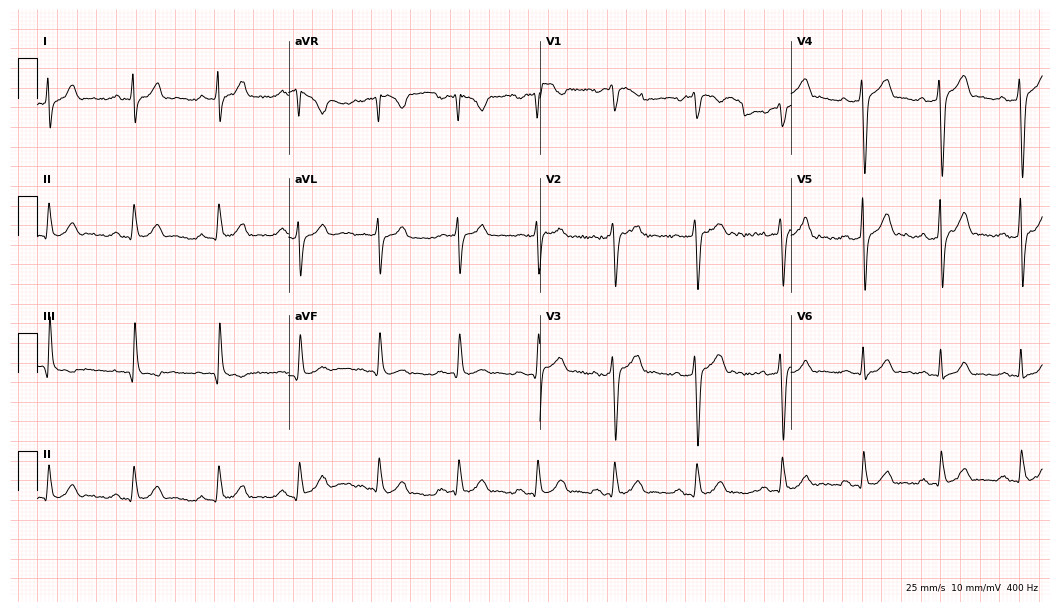
Electrocardiogram, a 30-year-old man. Of the six screened findings (first-degree AV block, right bundle branch block, left bundle branch block, sinus bradycardia, atrial fibrillation, sinus tachycardia), none is recorded.